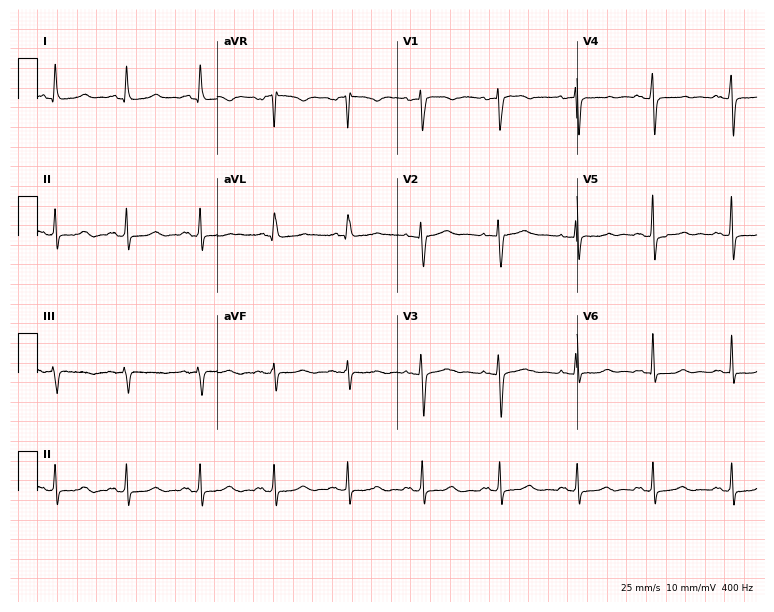
ECG — a 47-year-old female. Screened for six findings — first-degree AV block, right bundle branch block, left bundle branch block, sinus bradycardia, atrial fibrillation, sinus tachycardia — none is recorded. Findings outside these six are not listed.